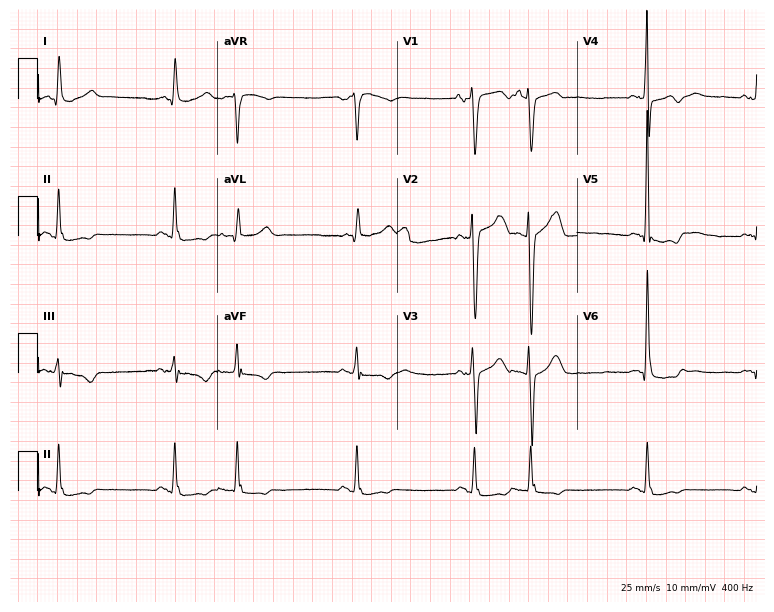
12-lead ECG from a 75-year-old male patient (7.3-second recording at 400 Hz). No first-degree AV block, right bundle branch block (RBBB), left bundle branch block (LBBB), sinus bradycardia, atrial fibrillation (AF) or sinus tachycardia recorded for this tracing. Other findings, if any, are not listed.